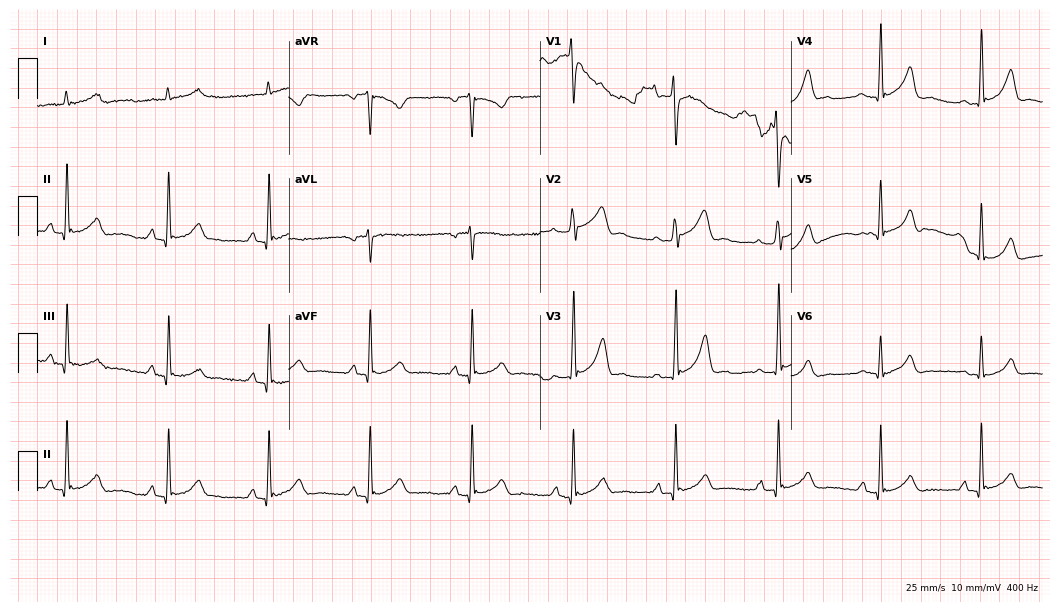
12-lead ECG (10.2-second recording at 400 Hz) from a 25-year-old male patient. Labelled as a normal ECG.